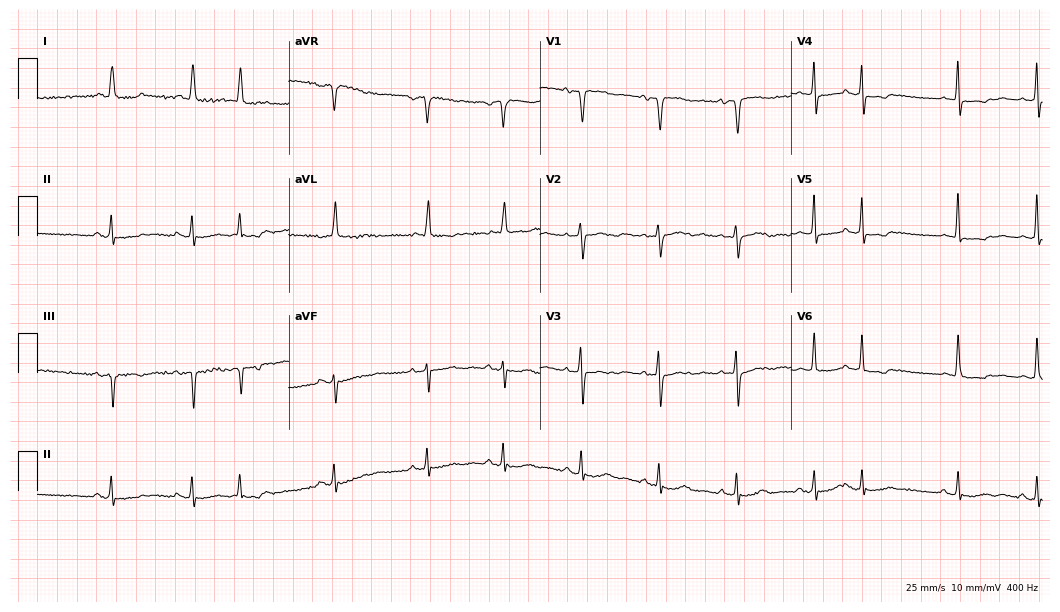
12-lead ECG from a 78-year-old female patient. No first-degree AV block, right bundle branch block (RBBB), left bundle branch block (LBBB), sinus bradycardia, atrial fibrillation (AF) or sinus tachycardia recorded for this tracing. Only these six findings were labelled.